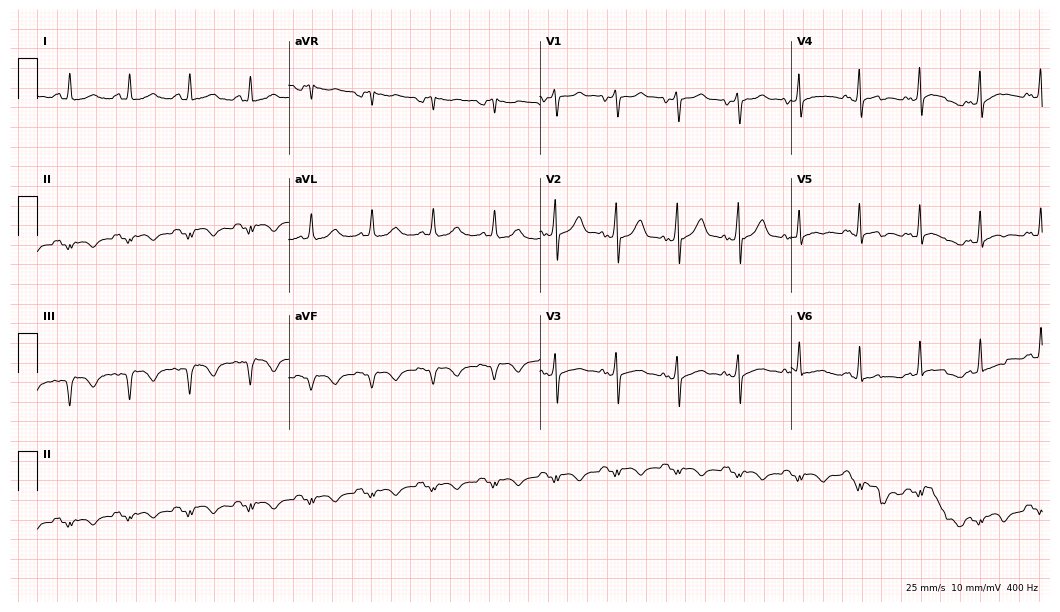
Standard 12-lead ECG recorded from a man, 76 years old. None of these six findings is recorded: first-degree AV block, right bundle branch block, left bundle branch block, sinus bradycardia, atrial fibrillation, sinus tachycardia. Only these six findings were labelled.